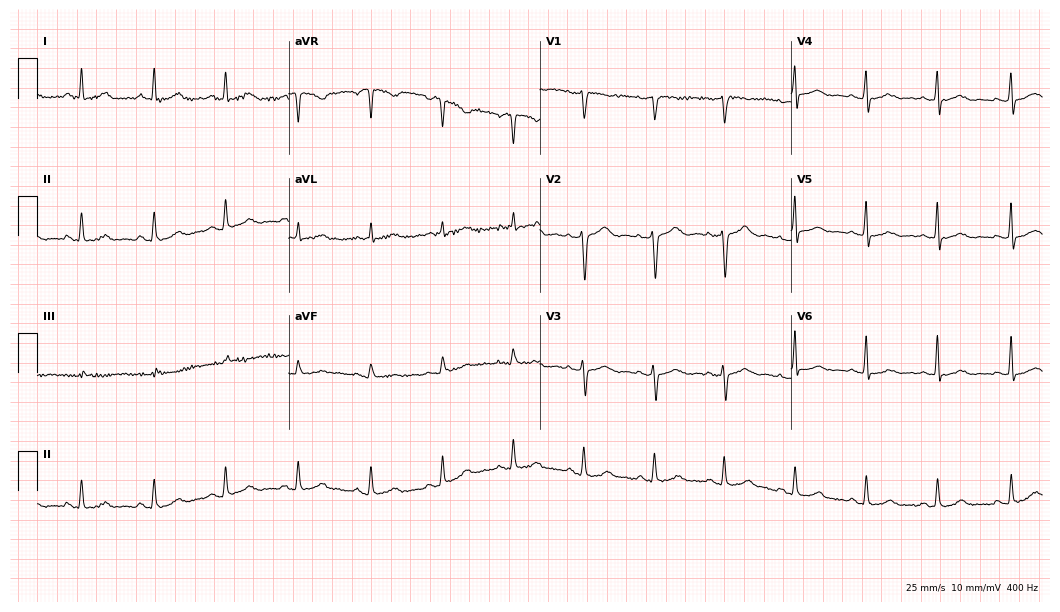
12-lead ECG from a 47-year-old female. Recorded interpretation: within normal limits.